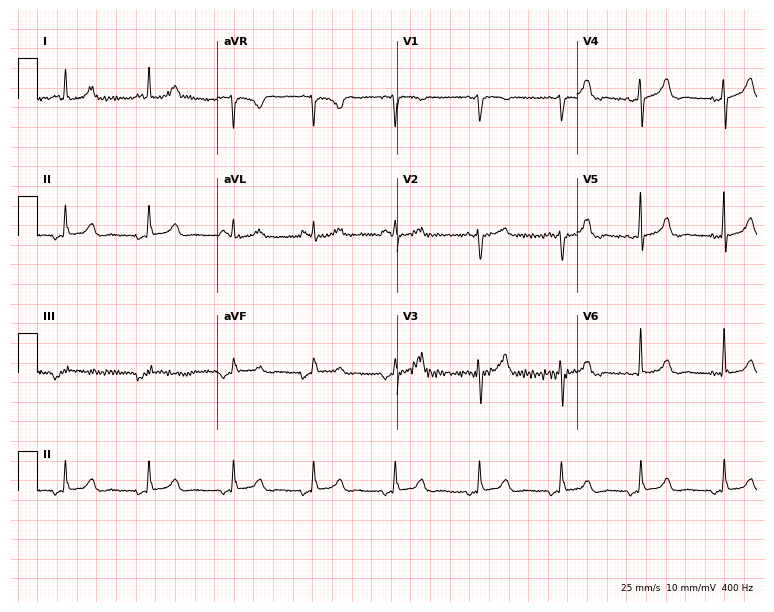
Resting 12-lead electrocardiogram (7.3-second recording at 400 Hz). Patient: a 72-year-old woman. None of these six findings is recorded: first-degree AV block, right bundle branch block, left bundle branch block, sinus bradycardia, atrial fibrillation, sinus tachycardia.